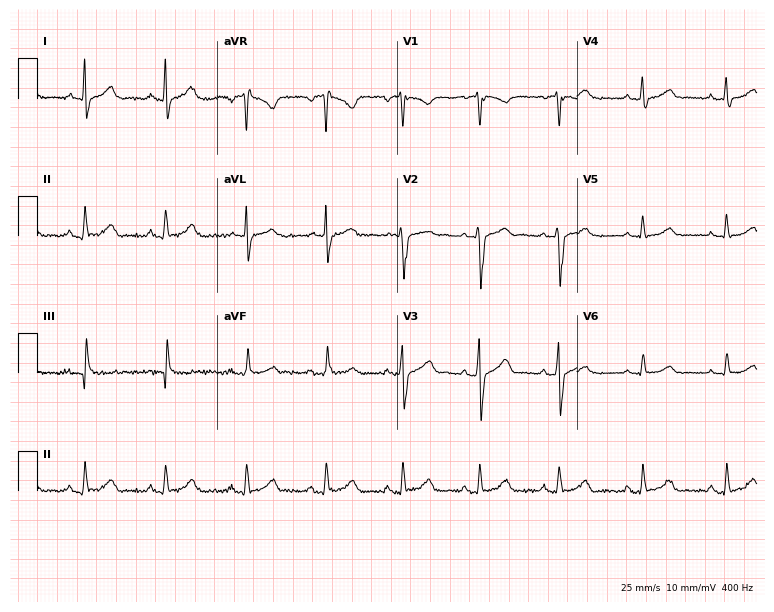
ECG — a male, 53 years old. Labelled as a normal ECG.